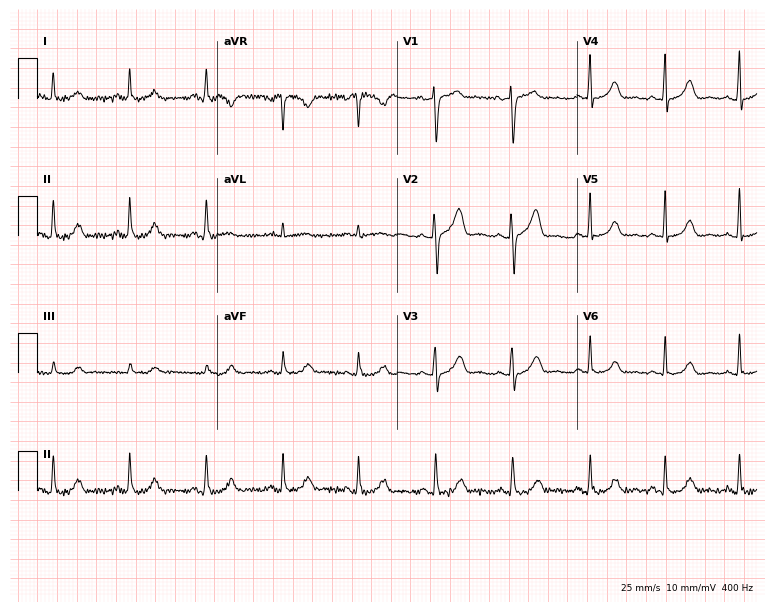
Standard 12-lead ECG recorded from a 54-year-old woman. Read as a normal ECG.